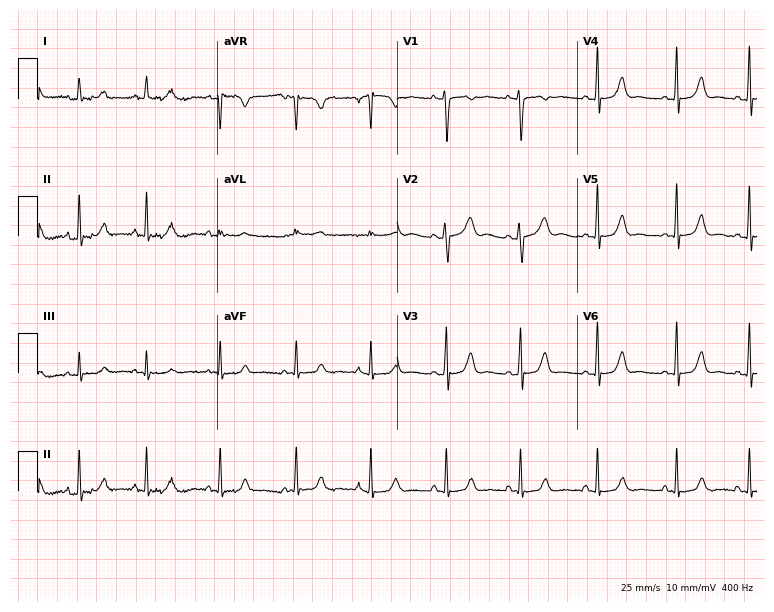
12-lead ECG from a 23-year-old female. No first-degree AV block, right bundle branch block, left bundle branch block, sinus bradycardia, atrial fibrillation or sinus tachycardia recorded for this tracing. Findings outside these six are not listed.